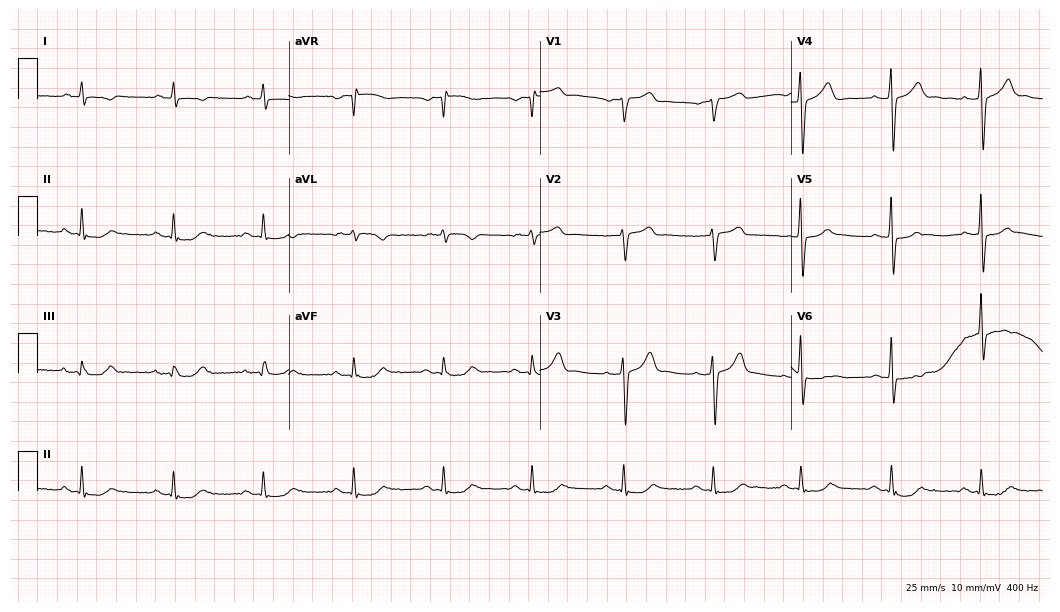
12-lead ECG from a male, 78 years old. Recorded interpretation: within normal limits.